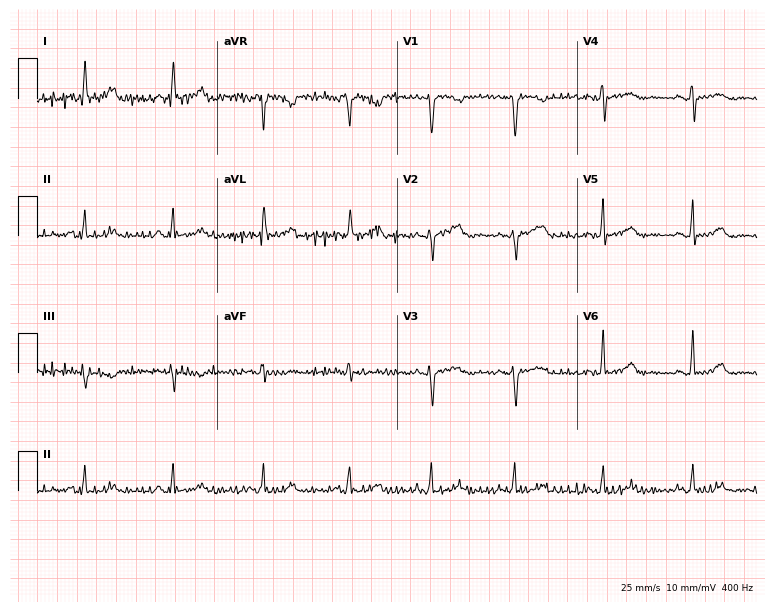
Standard 12-lead ECG recorded from a female, 63 years old (7.3-second recording at 400 Hz). Read as a normal ECG.